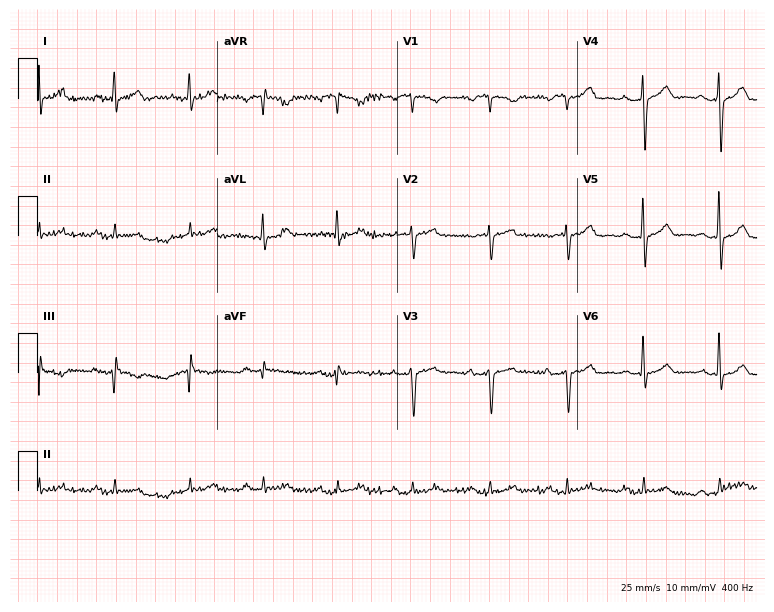
12-lead ECG from a 78-year-old male. Labelled as a normal ECG.